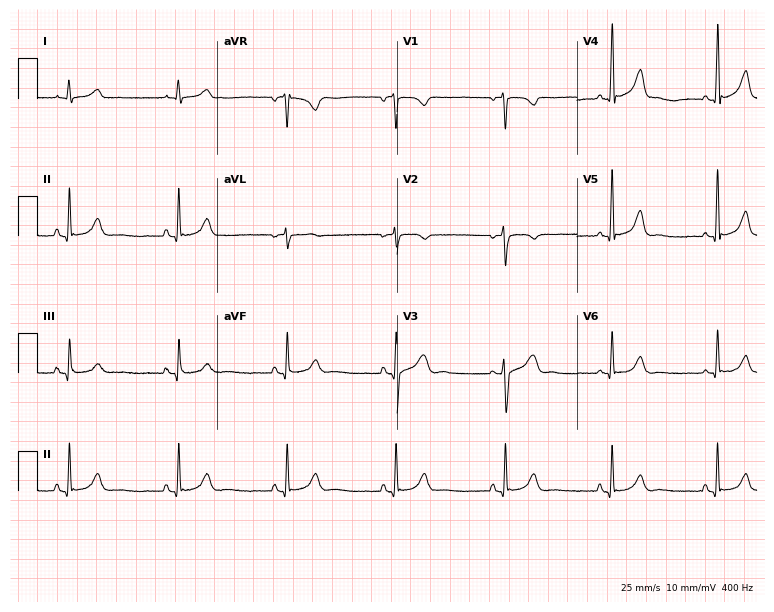
12-lead ECG from a woman, 31 years old. Screened for six findings — first-degree AV block, right bundle branch block, left bundle branch block, sinus bradycardia, atrial fibrillation, sinus tachycardia — none is recorded. Other findings, if any, are not listed.